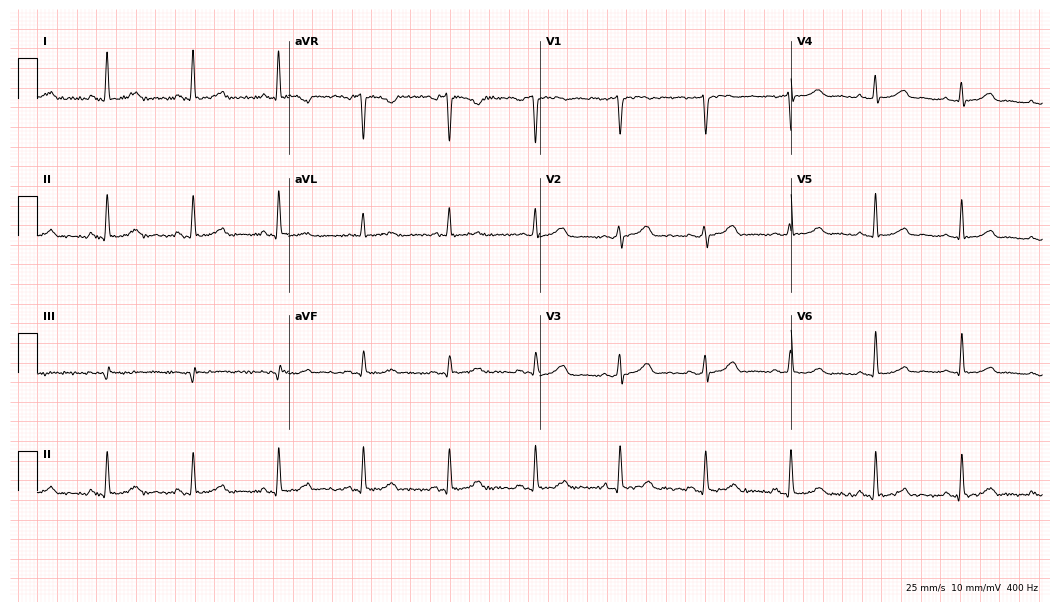
ECG — a 61-year-old woman. Labelled as a normal ECG.